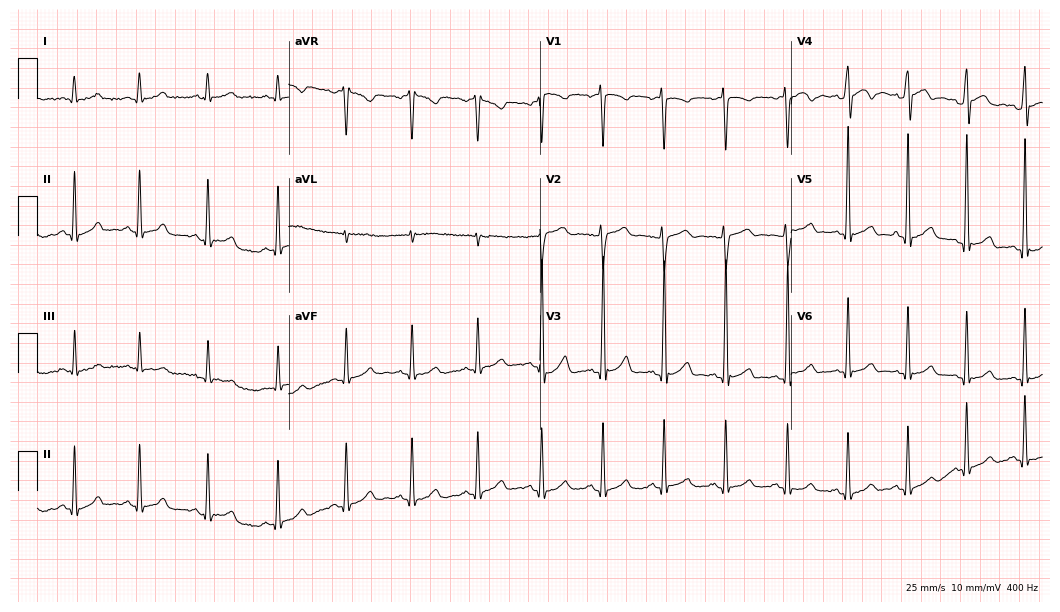
12-lead ECG (10.2-second recording at 400 Hz) from a 29-year-old man. Screened for six findings — first-degree AV block, right bundle branch block, left bundle branch block, sinus bradycardia, atrial fibrillation, sinus tachycardia — none is recorded.